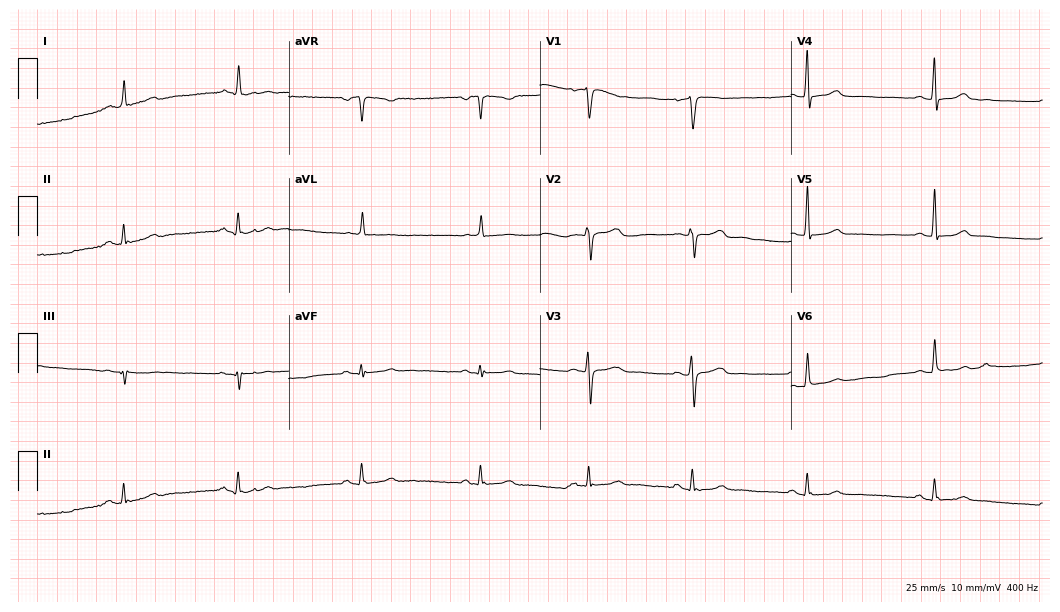
ECG — a woman, 37 years old. Labelled as a normal ECG.